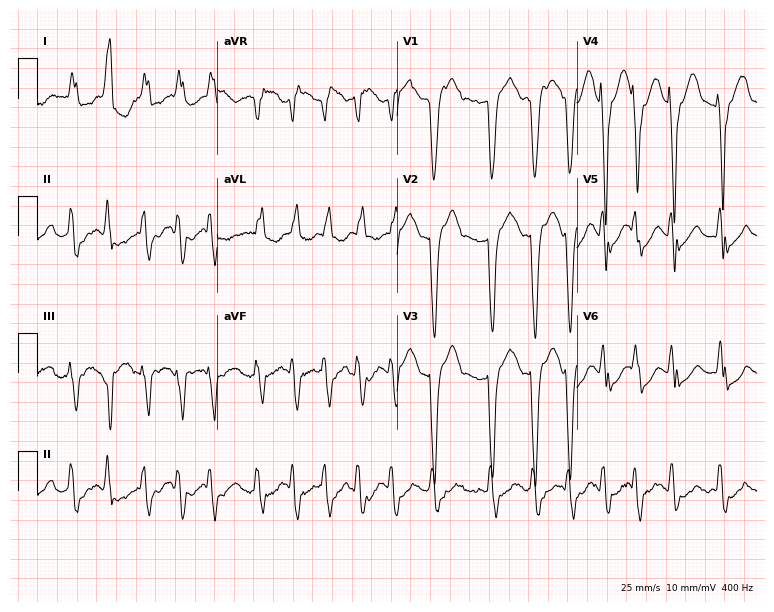
ECG (7.3-second recording at 400 Hz) — an 84-year-old woman. Findings include left bundle branch block (LBBB), atrial fibrillation (AF).